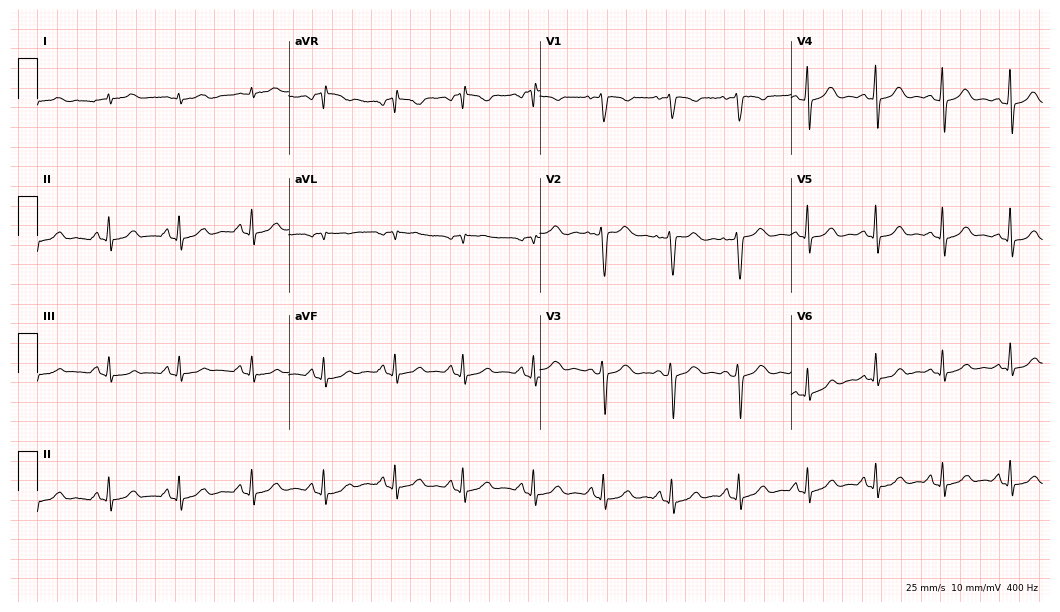
Resting 12-lead electrocardiogram (10.2-second recording at 400 Hz). Patient: a female, 31 years old. Read as a normal ECG.